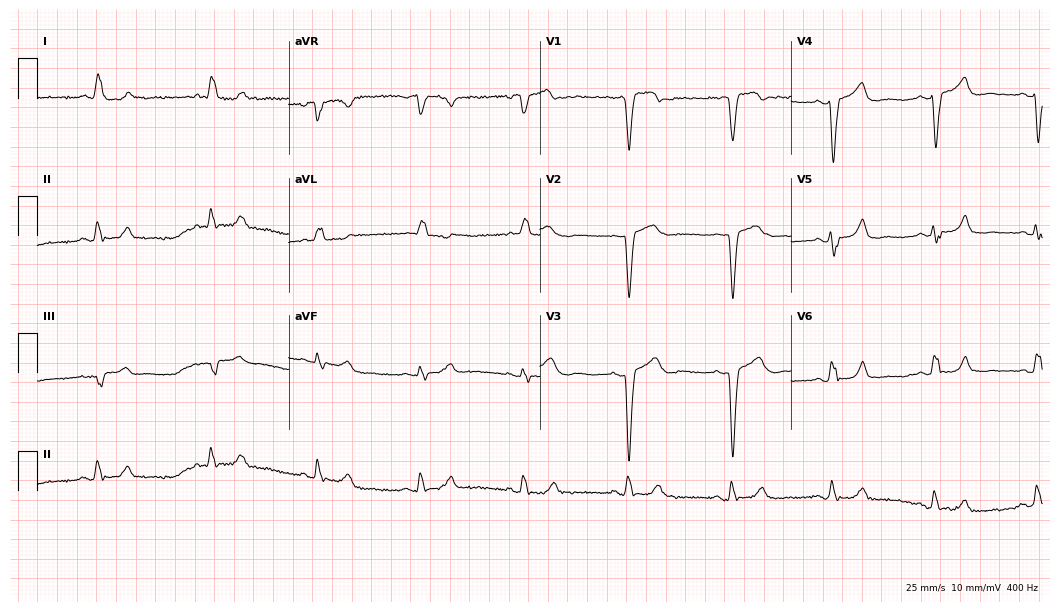
12-lead ECG (10.2-second recording at 400 Hz) from an 84-year-old female. Screened for six findings — first-degree AV block, right bundle branch block, left bundle branch block, sinus bradycardia, atrial fibrillation, sinus tachycardia — none is recorded. Findings outside these six are not listed.